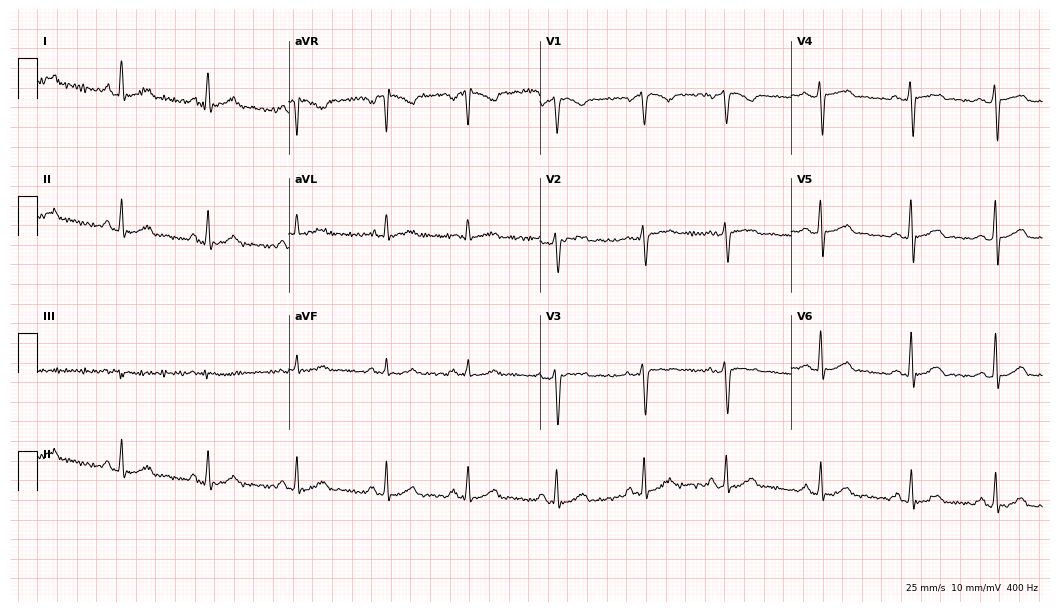
Electrocardiogram (10.2-second recording at 400 Hz), a female patient, 33 years old. Of the six screened findings (first-degree AV block, right bundle branch block (RBBB), left bundle branch block (LBBB), sinus bradycardia, atrial fibrillation (AF), sinus tachycardia), none is recorded.